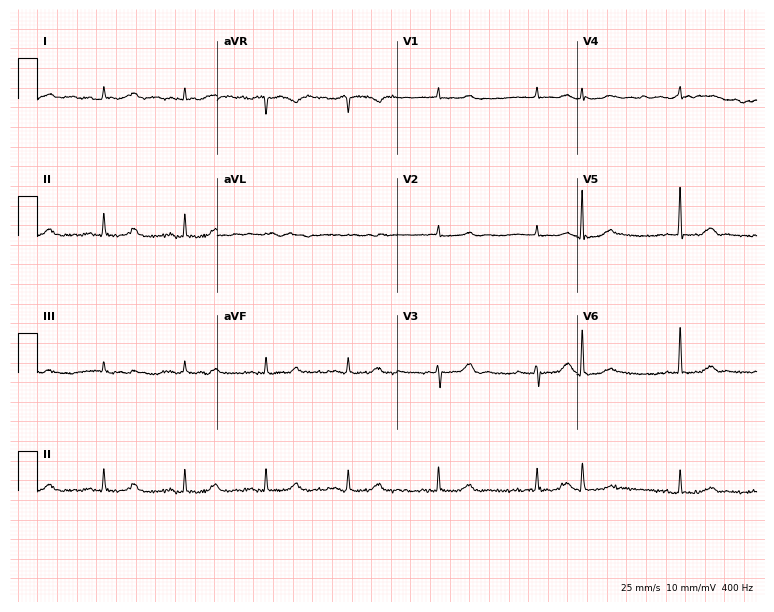
Standard 12-lead ECG recorded from a 60-year-old female (7.3-second recording at 400 Hz). None of these six findings is recorded: first-degree AV block, right bundle branch block, left bundle branch block, sinus bradycardia, atrial fibrillation, sinus tachycardia.